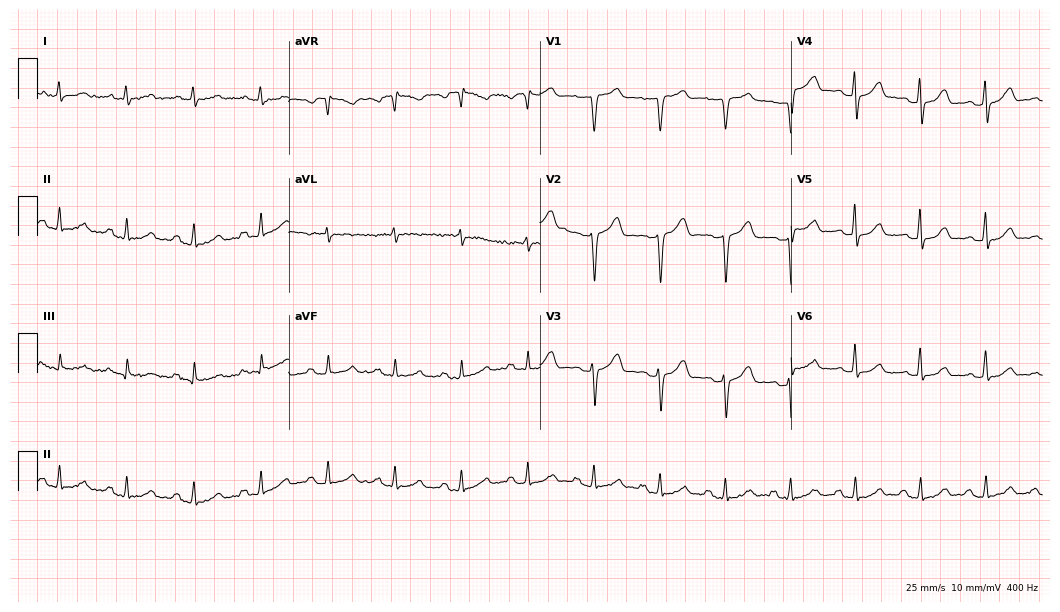
Electrocardiogram, a 57-year-old female. Overall reading on record: normal ECG.